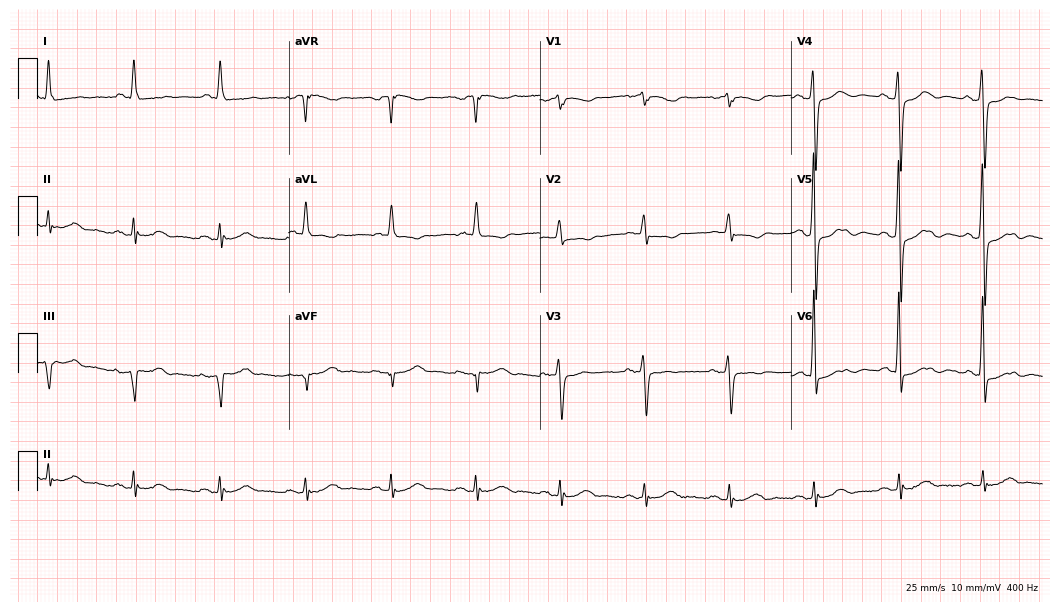
12-lead ECG (10.2-second recording at 400 Hz) from a female patient, 70 years old. Screened for six findings — first-degree AV block, right bundle branch block, left bundle branch block, sinus bradycardia, atrial fibrillation, sinus tachycardia — none is recorded. Only these six findings were labelled.